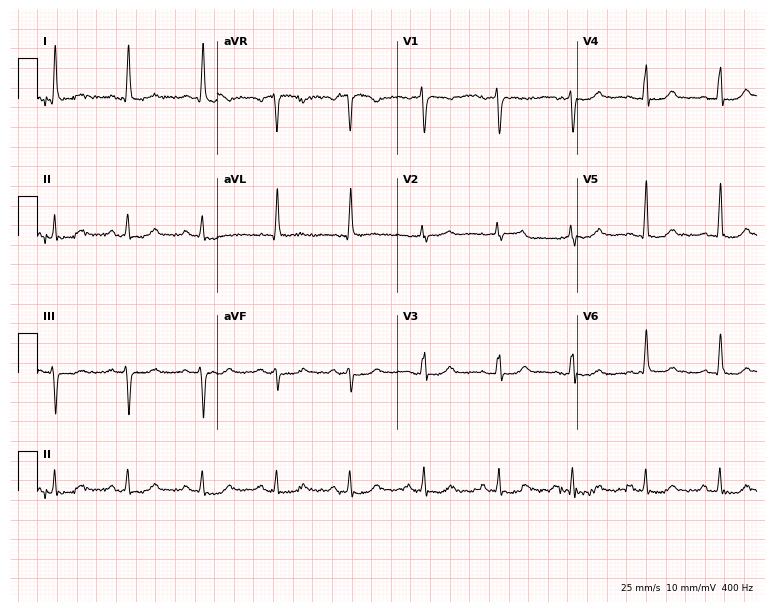
Electrocardiogram (7.3-second recording at 400 Hz), a 69-year-old female patient. Of the six screened findings (first-degree AV block, right bundle branch block (RBBB), left bundle branch block (LBBB), sinus bradycardia, atrial fibrillation (AF), sinus tachycardia), none is recorded.